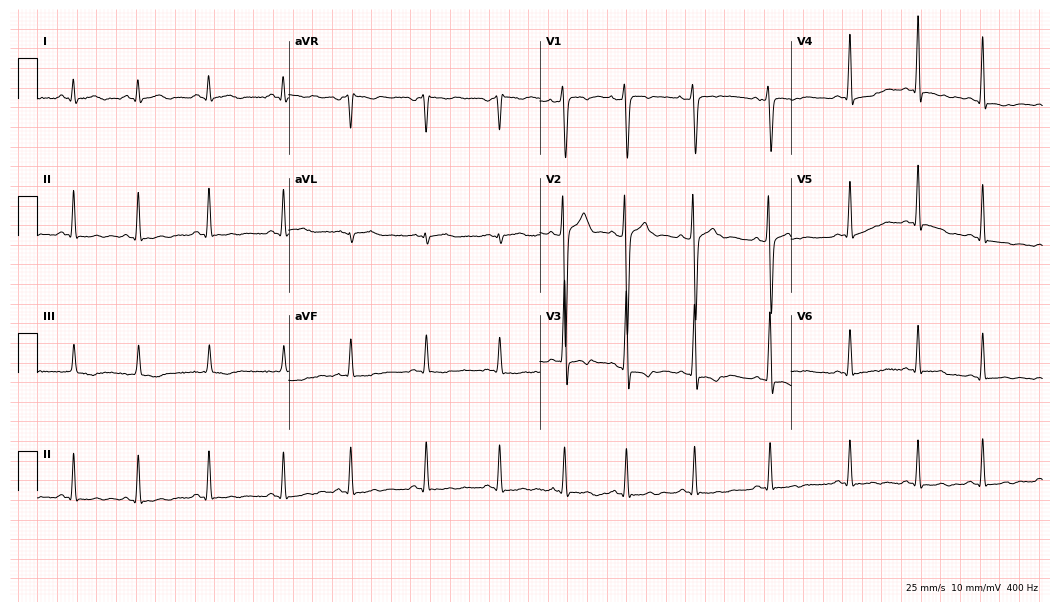
Resting 12-lead electrocardiogram. Patient: a man, 25 years old. None of these six findings is recorded: first-degree AV block, right bundle branch block, left bundle branch block, sinus bradycardia, atrial fibrillation, sinus tachycardia. Findings outside these six are not listed.